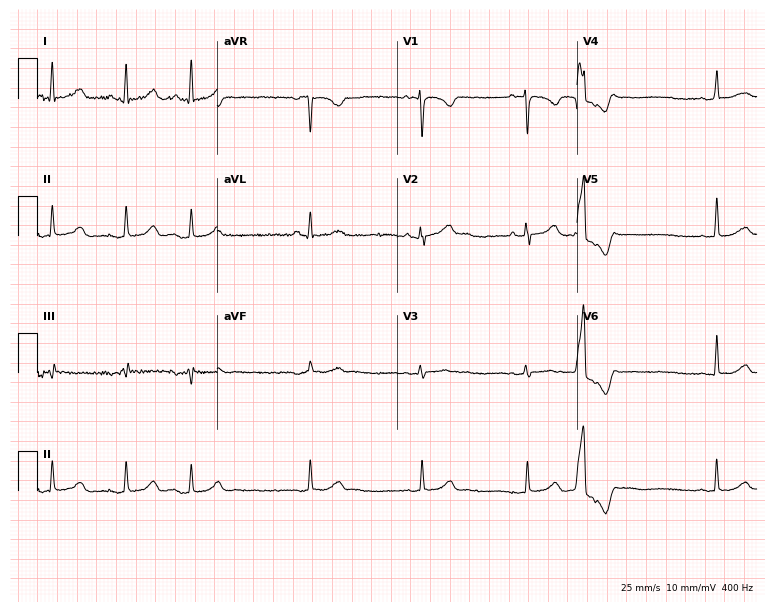
Electrocardiogram, a 20-year-old woman. Of the six screened findings (first-degree AV block, right bundle branch block, left bundle branch block, sinus bradycardia, atrial fibrillation, sinus tachycardia), none is recorded. Other findings, if any, are not listed.